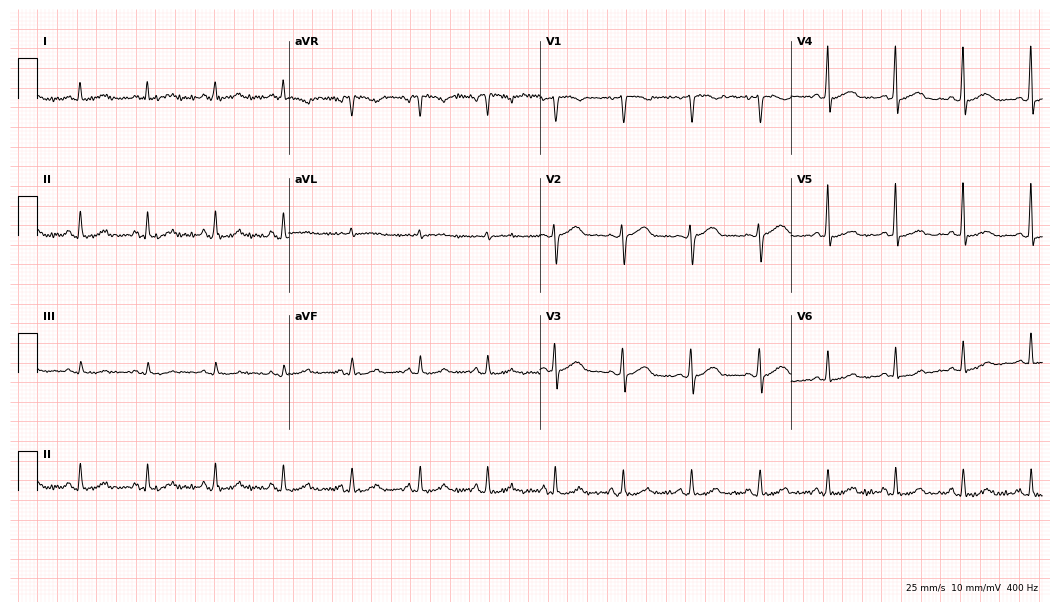
Resting 12-lead electrocardiogram (10.2-second recording at 400 Hz). Patient: a 46-year-old female. Read as a normal ECG.